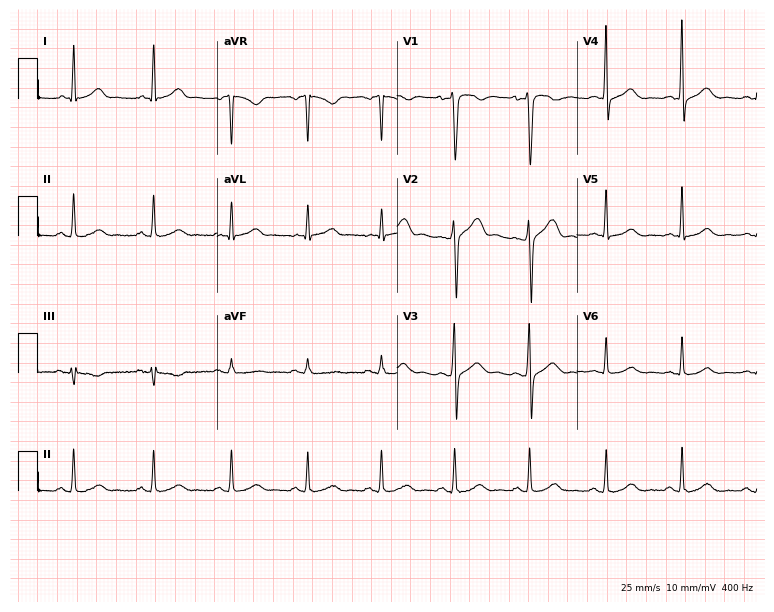
Resting 12-lead electrocardiogram (7.3-second recording at 400 Hz). Patient: a 38-year-old male. Read as a normal ECG.